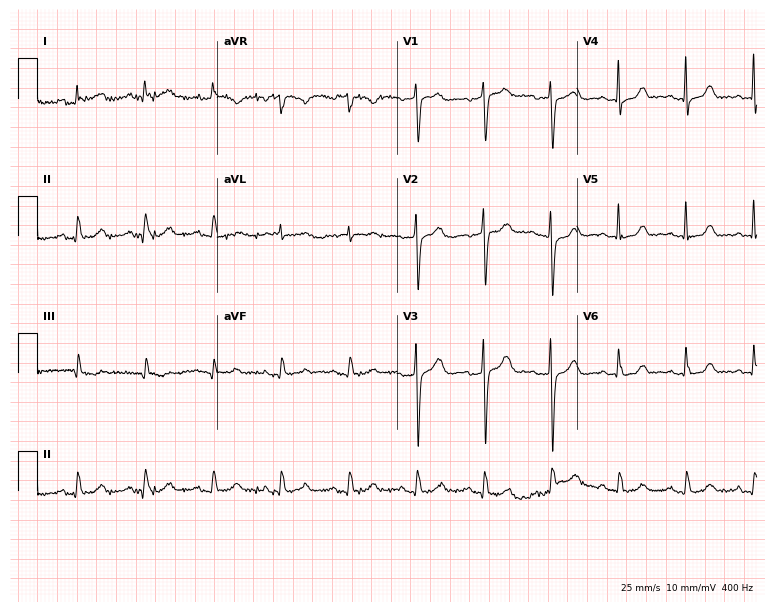
Electrocardiogram, an 80-year-old female patient. Of the six screened findings (first-degree AV block, right bundle branch block, left bundle branch block, sinus bradycardia, atrial fibrillation, sinus tachycardia), none is recorded.